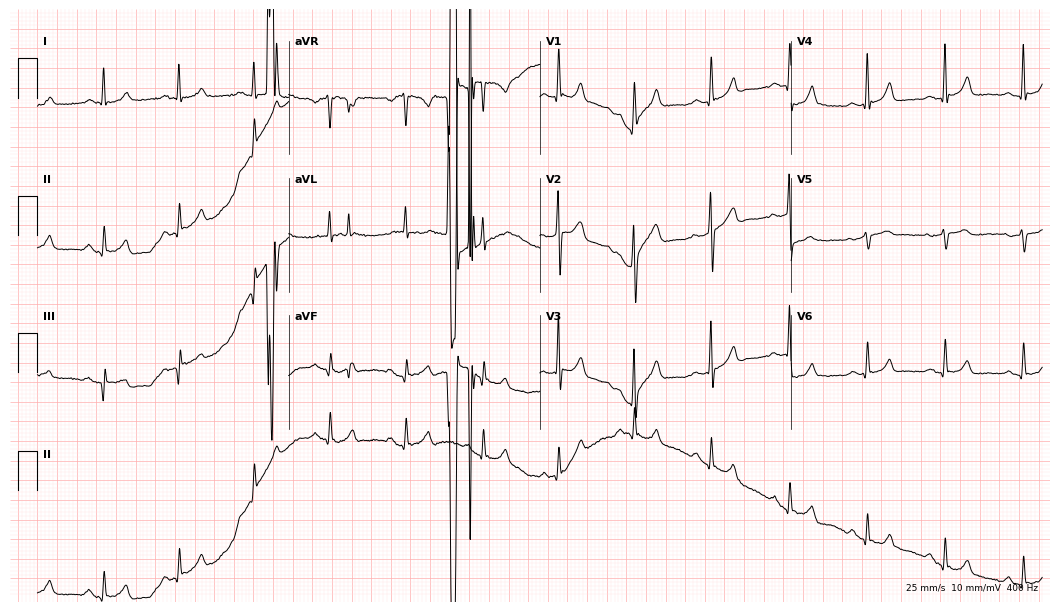
Electrocardiogram (10.2-second recording at 400 Hz), a 51-year-old man. Of the six screened findings (first-degree AV block, right bundle branch block, left bundle branch block, sinus bradycardia, atrial fibrillation, sinus tachycardia), none is recorded. Other findings, if any, are not listed.